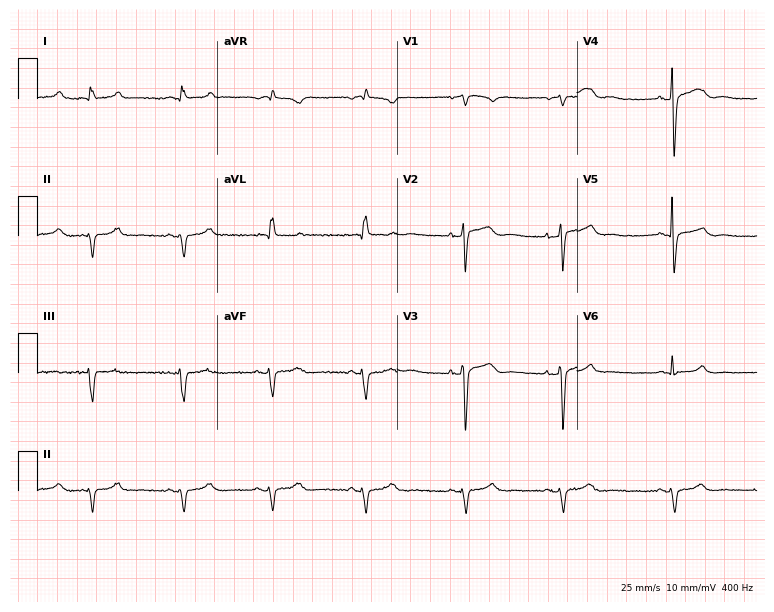
12-lead ECG from a 74-year-old male. No first-degree AV block, right bundle branch block (RBBB), left bundle branch block (LBBB), sinus bradycardia, atrial fibrillation (AF) or sinus tachycardia recorded for this tracing. Other findings, if any, are not listed.